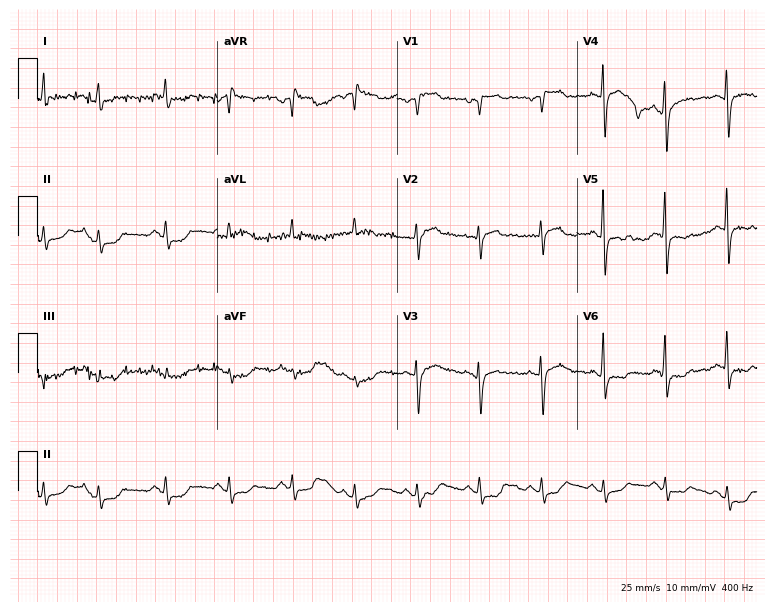
Electrocardiogram, a 71-year-old man. Of the six screened findings (first-degree AV block, right bundle branch block (RBBB), left bundle branch block (LBBB), sinus bradycardia, atrial fibrillation (AF), sinus tachycardia), none is recorded.